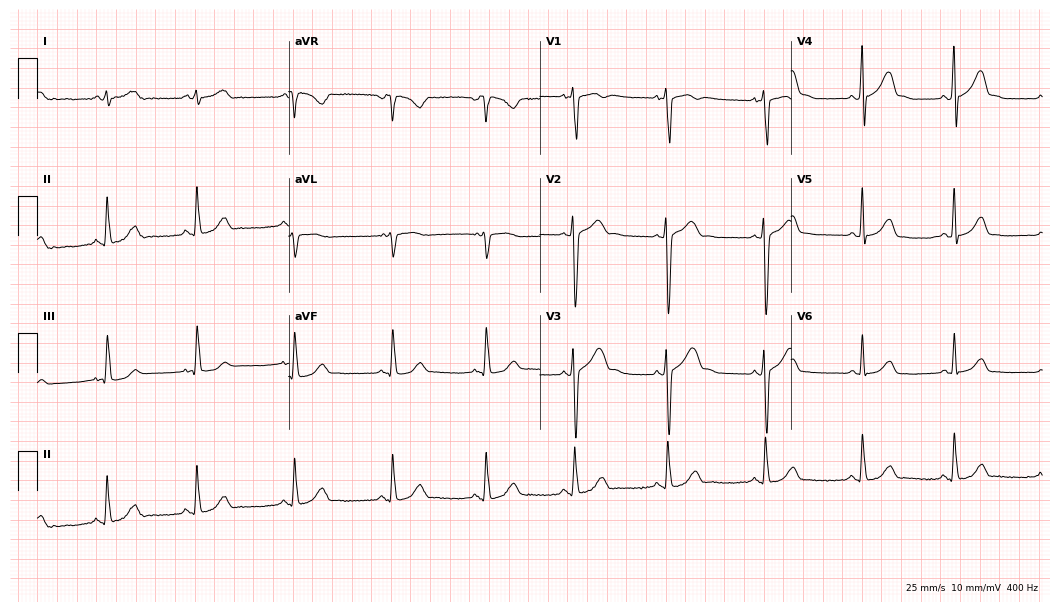
ECG — an 18-year-old man. Labelled as a normal ECG.